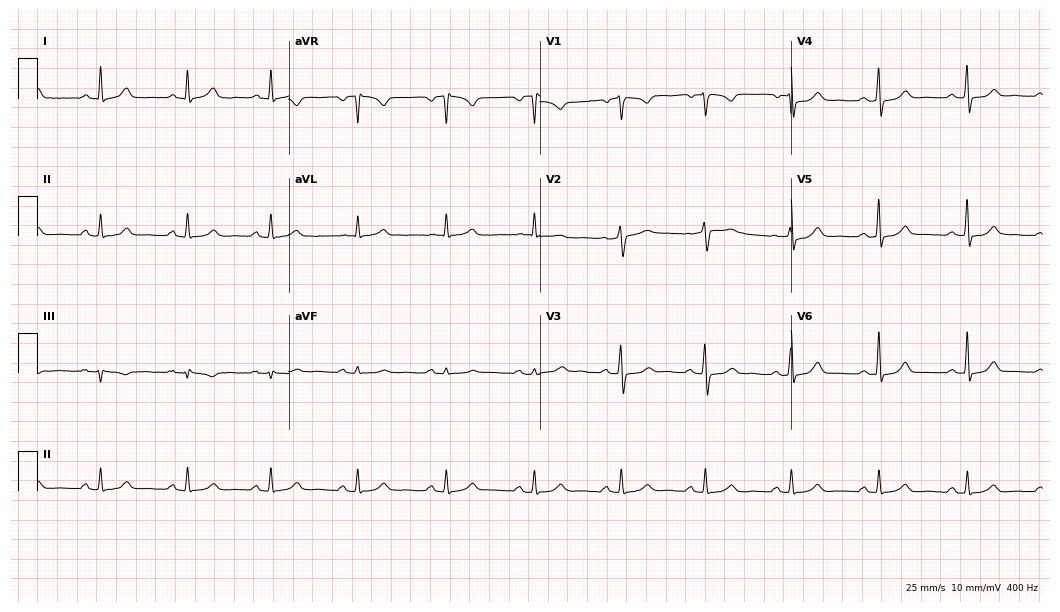
12-lead ECG from a 35-year-old woman (10.2-second recording at 400 Hz). Recorded interpretation: within normal limits.